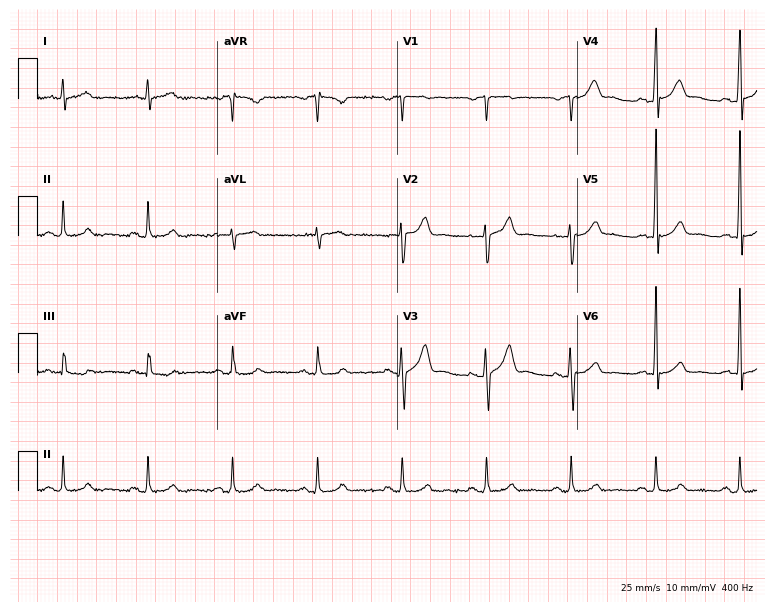
12-lead ECG from a 50-year-old male (7.3-second recording at 400 Hz). No first-degree AV block, right bundle branch block (RBBB), left bundle branch block (LBBB), sinus bradycardia, atrial fibrillation (AF) or sinus tachycardia recorded for this tracing. Only these six findings were labelled.